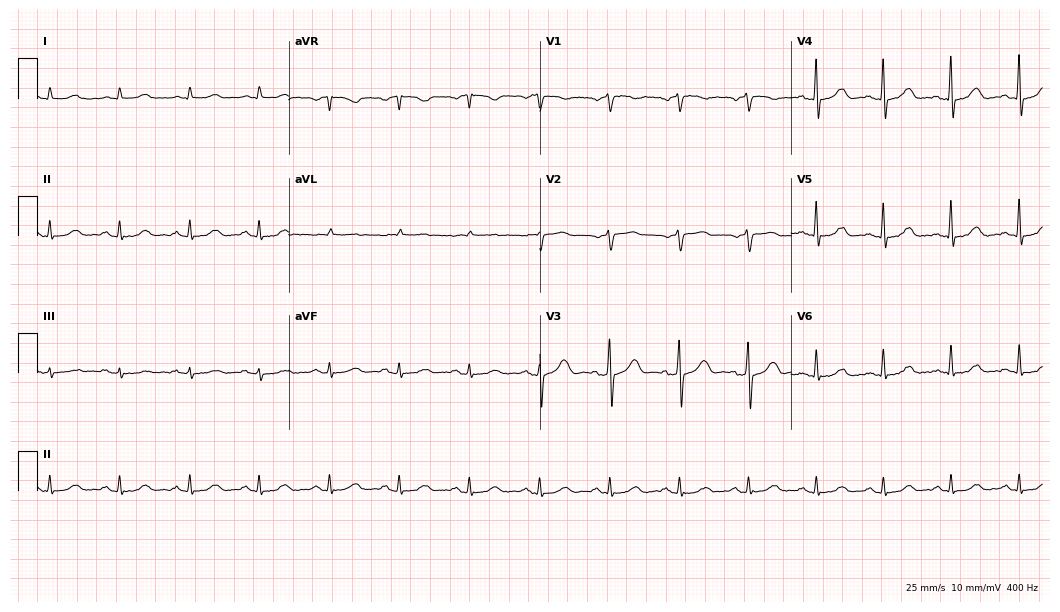
12-lead ECG (10.2-second recording at 400 Hz) from an 85-year-old male. Labelled as a normal ECG.